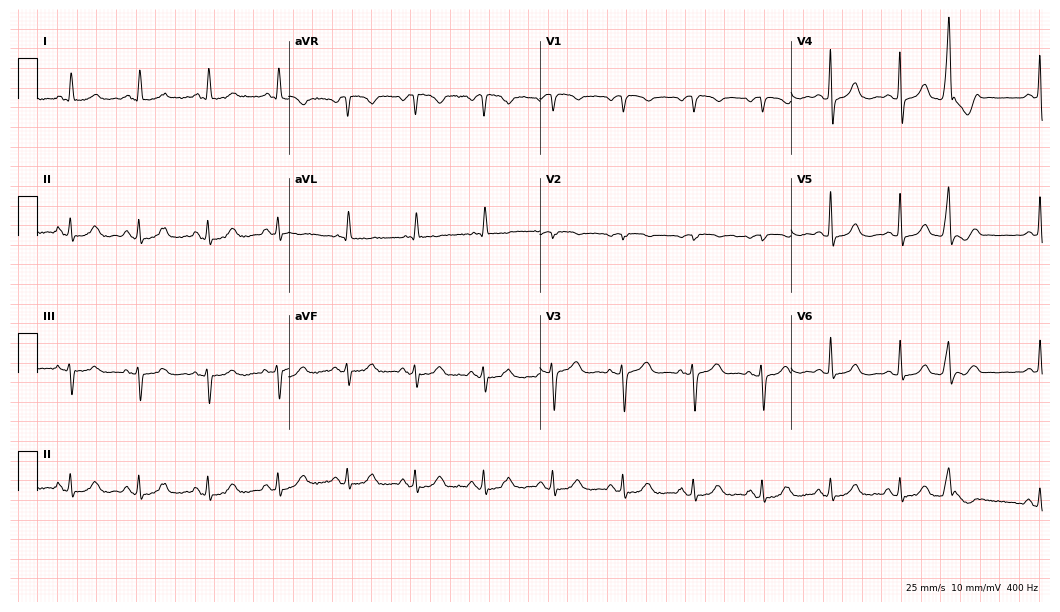
Electrocardiogram, a 79-year-old woman. Of the six screened findings (first-degree AV block, right bundle branch block (RBBB), left bundle branch block (LBBB), sinus bradycardia, atrial fibrillation (AF), sinus tachycardia), none is recorded. Only these six findings were labelled.